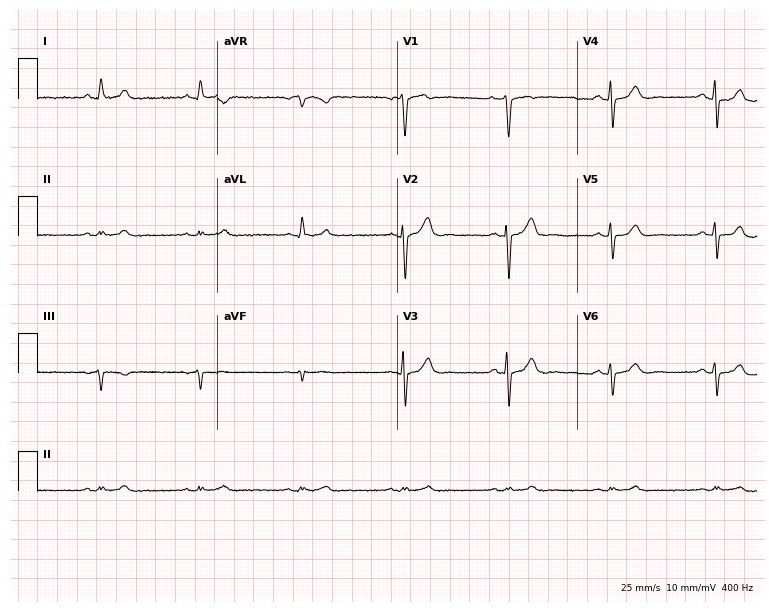
12-lead ECG from a male, 78 years old. No first-degree AV block, right bundle branch block, left bundle branch block, sinus bradycardia, atrial fibrillation or sinus tachycardia recorded for this tracing. Other findings, if any, are not listed.